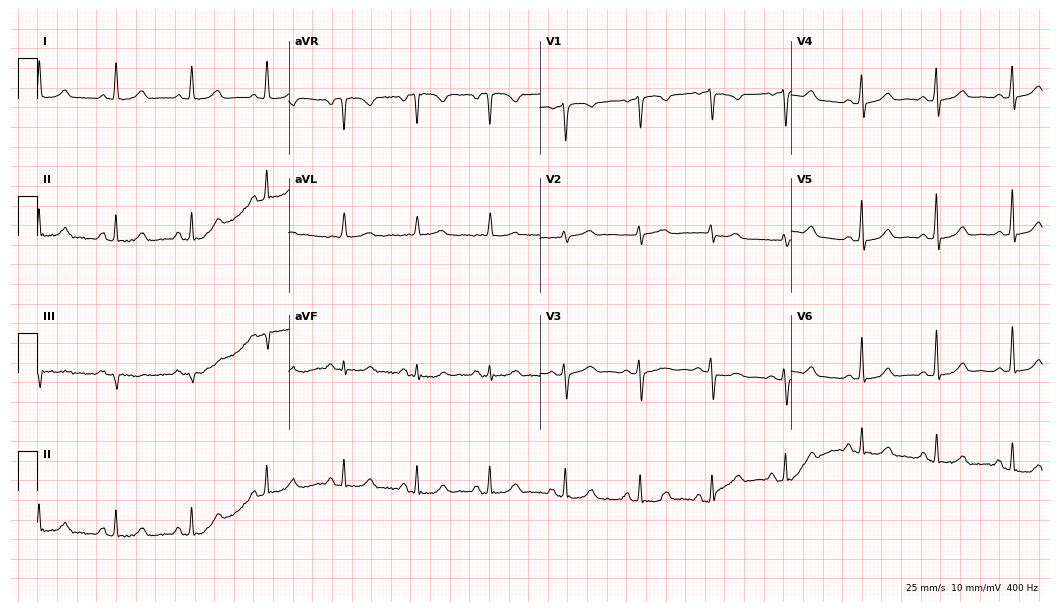
12-lead ECG from a 67-year-old female patient (10.2-second recording at 400 Hz). Recorded interpretation: within normal limits.